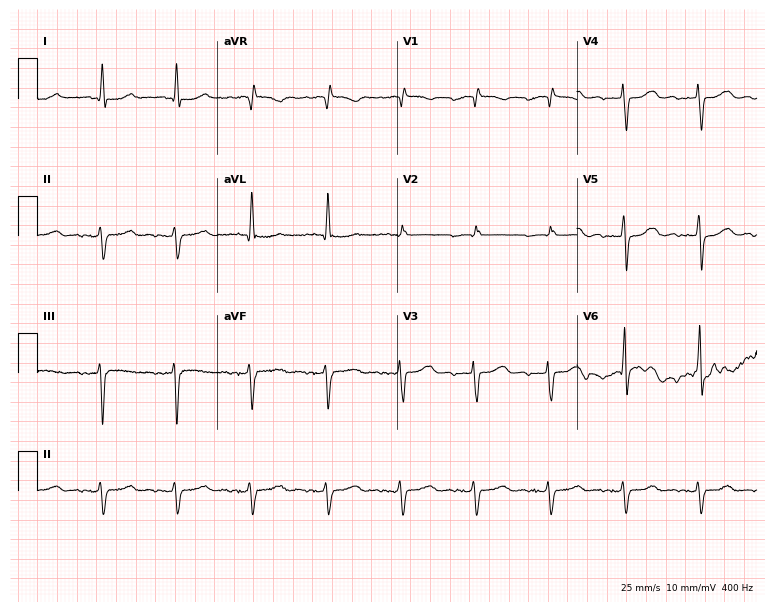
12-lead ECG (7.3-second recording at 400 Hz) from a woman, 83 years old. Screened for six findings — first-degree AV block, right bundle branch block (RBBB), left bundle branch block (LBBB), sinus bradycardia, atrial fibrillation (AF), sinus tachycardia — none is recorded. Findings outside these six are not listed.